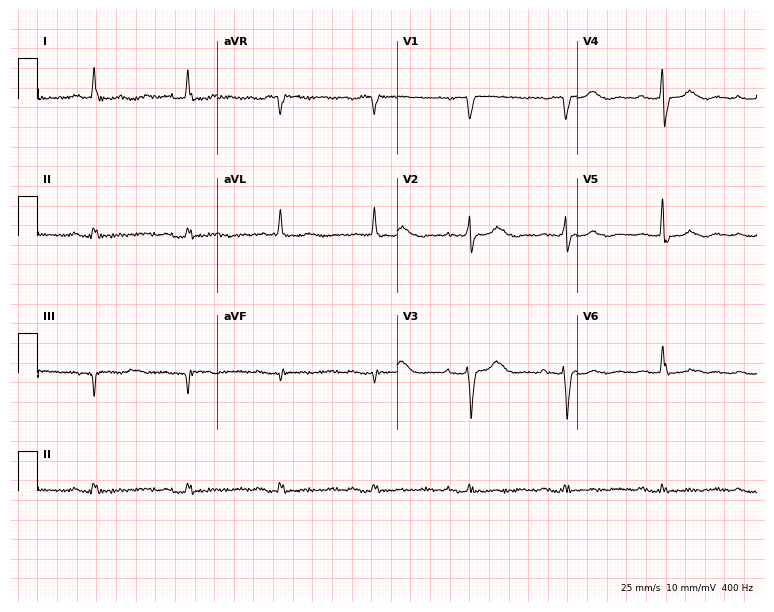
Resting 12-lead electrocardiogram (7.3-second recording at 400 Hz). Patient: a 79-year-old female. None of these six findings is recorded: first-degree AV block, right bundle branch block (RBBB), left bundle branch block (LBBB), sinus bradycardia, atrial fibrillation (AF), sinus tachycardia.